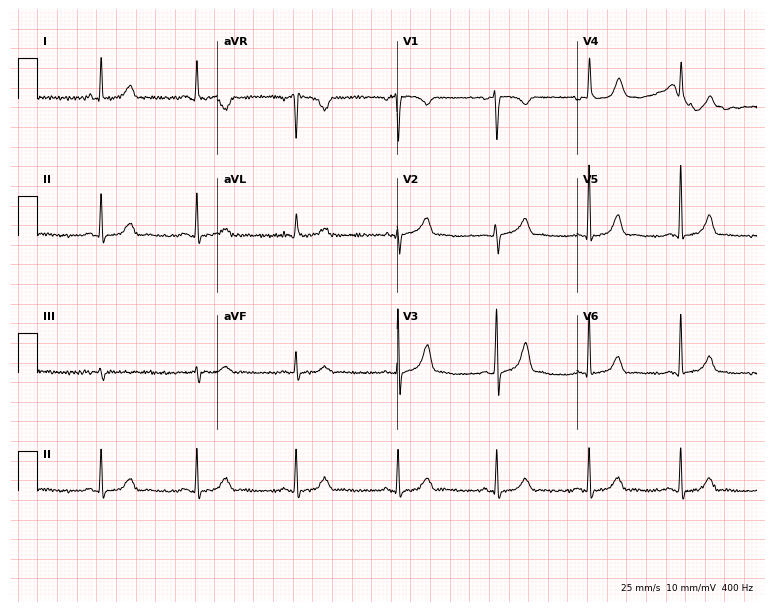
12-lead ECG from a 50-year-old female. Labelled as a normal ECG.